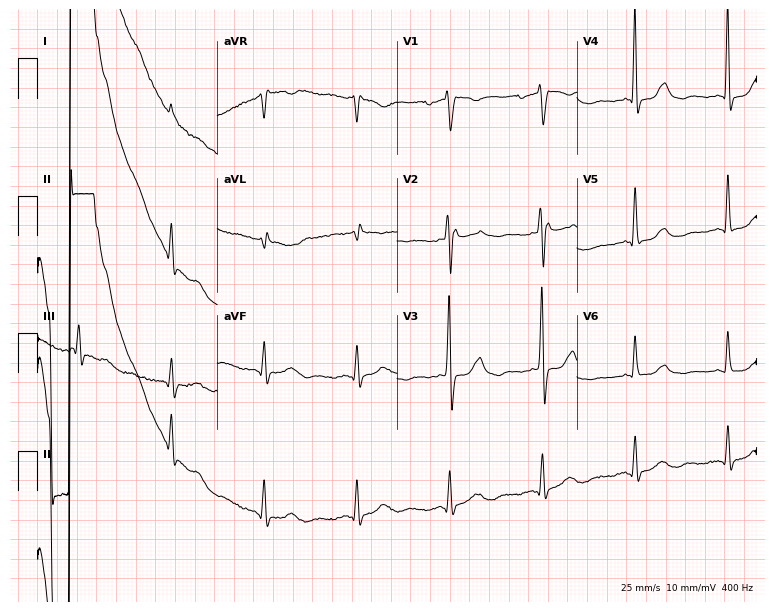
Electrocardiogram (7.3-second recording at 400 Hz), a male, 85 years old. Of the six screened findings (first-degree AV block, right bundle branch block, left bundle branch block, sinus bradycardia, atrial fibrillation, sinus tachycardia), none is recorded. Findings outside these six are not listed.